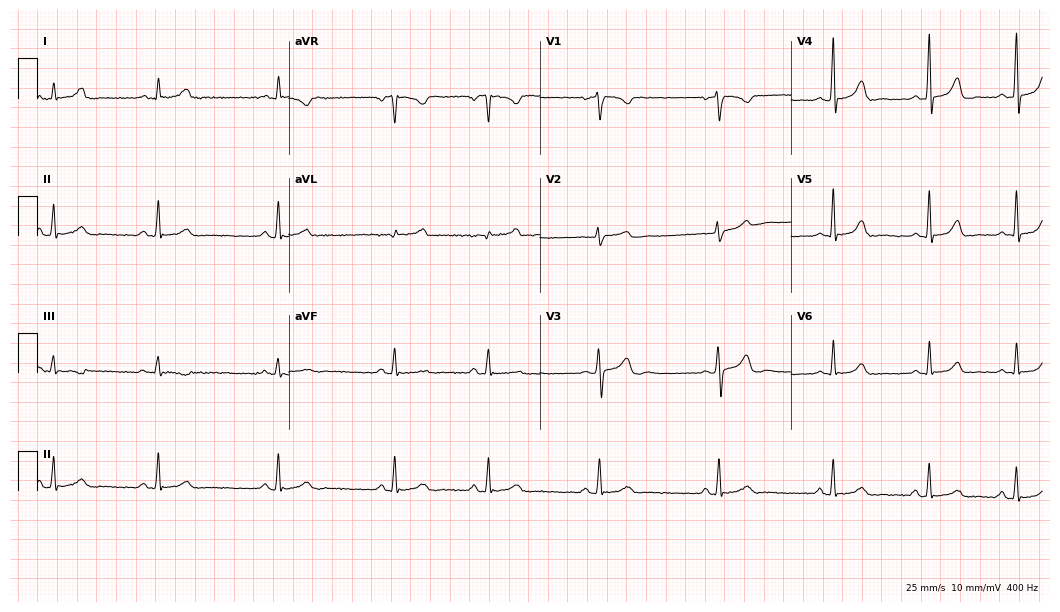
Standard 12-lead ECG recorded from a female patient, 28 years old (10.2-second recording at 400 Hz). None of these six findings is recorded: first-degree AV block, right bundle branch block, left bundle branch block, sinus bradycardia, atrial fibrillation, sinus tachycardia. Other findings, if any, are not listed.